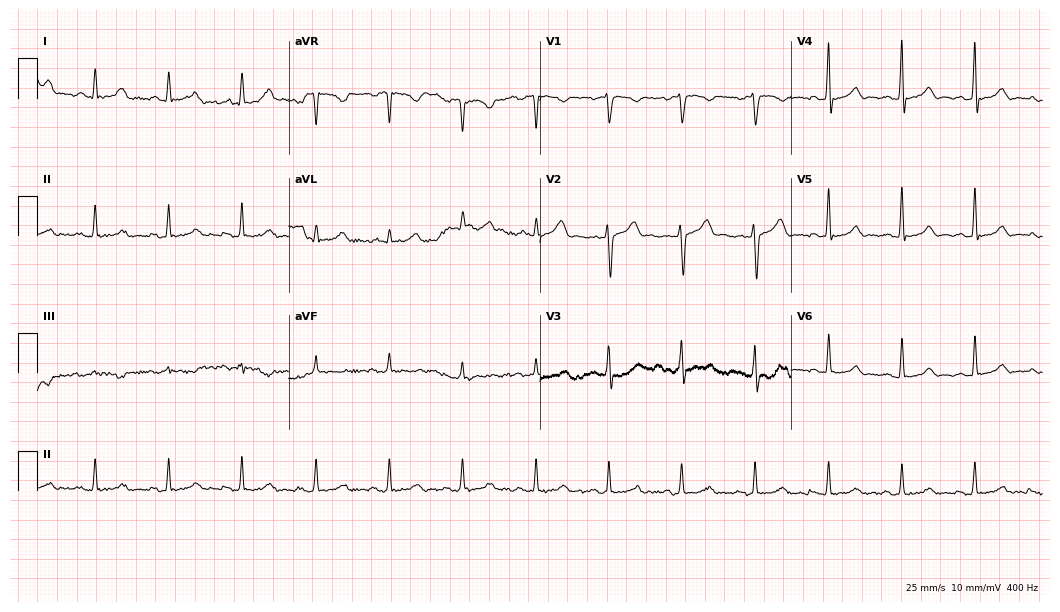
Standard 12-lead ECG recorded from a male, 29 years old (10.2-second recording at 400 Hz). Read as a normal ECG.